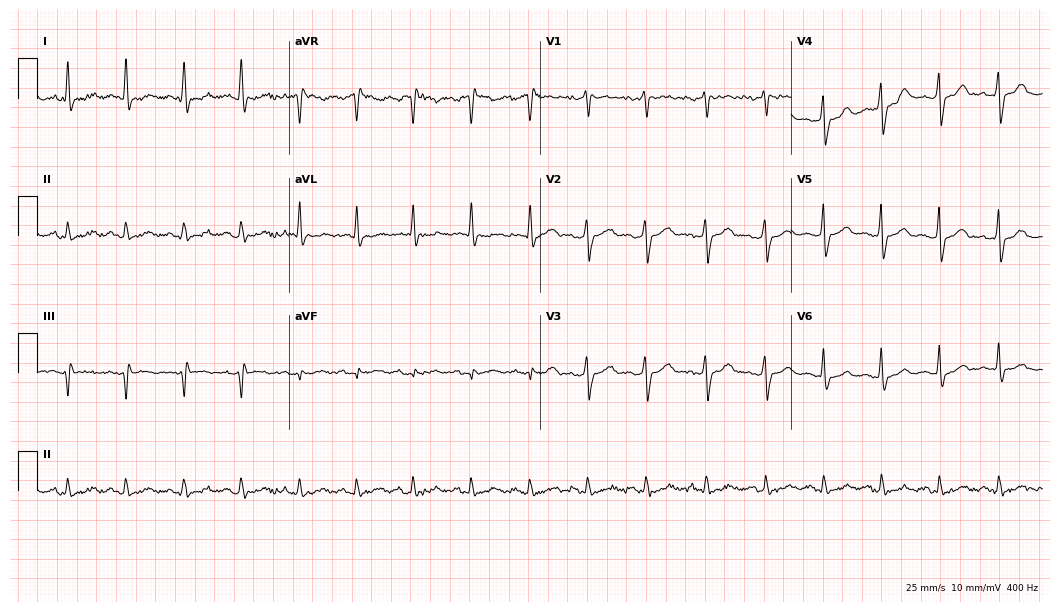
12-lead ECG from a male patient, 34 years old. Shows sinus tachycardia (a sinus rate of 100 beats per minute or more).